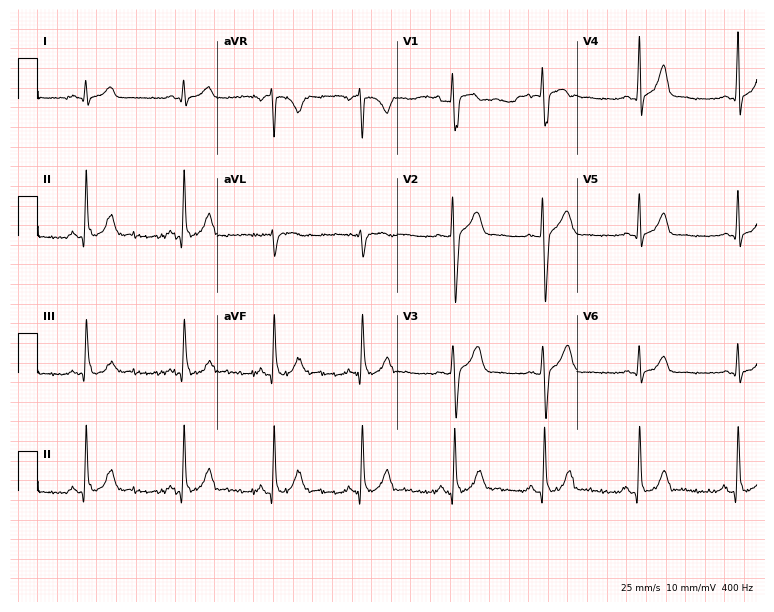
Electrocardiogram, a man, 28 years old. Of the six screened findings (first-degree AV block, right bundle branch block, left bundle branch block, sinus bradycardia, atrial fibrillation, sinus tachycardia), none is recorded. Findings outside these six are not listed.